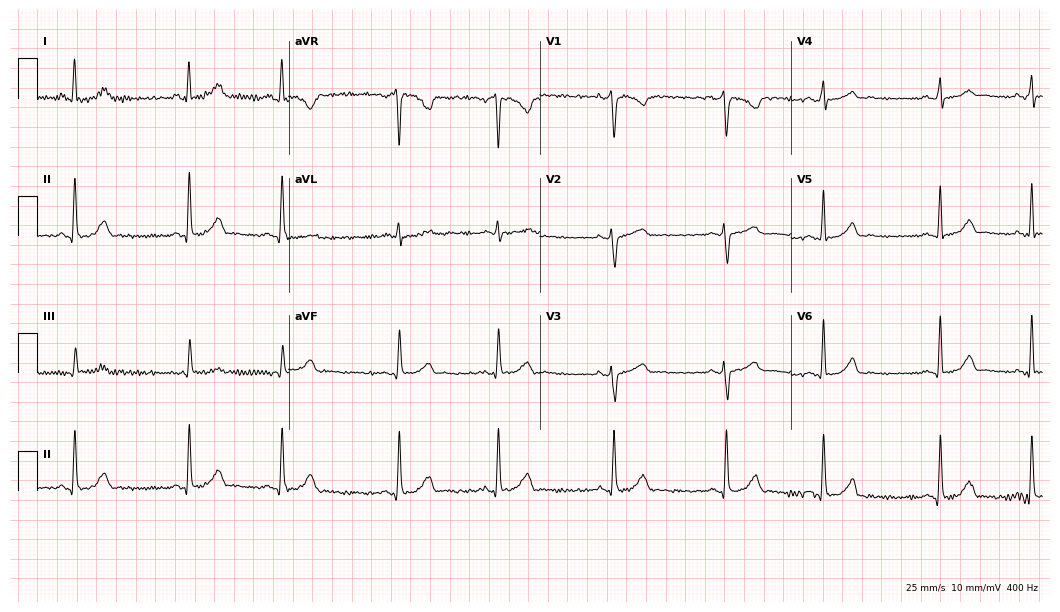
Resting 12-lead electrocardiogram (10.2-second recording at 400 Hz). Patient: a woman, 22 years old. Read as a normal ECG.